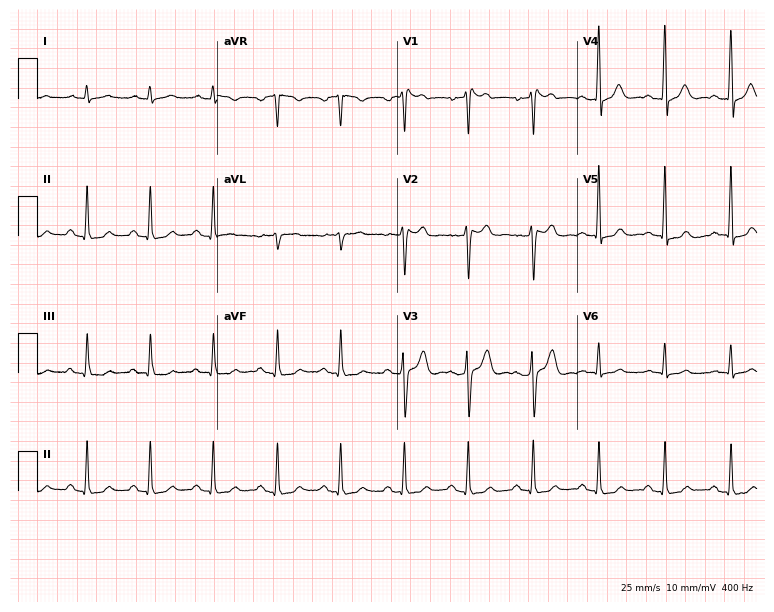
ECG (7.3-second recording at 400 Hz) — a male patient, 49 years old. Labelled as a normal ECG.